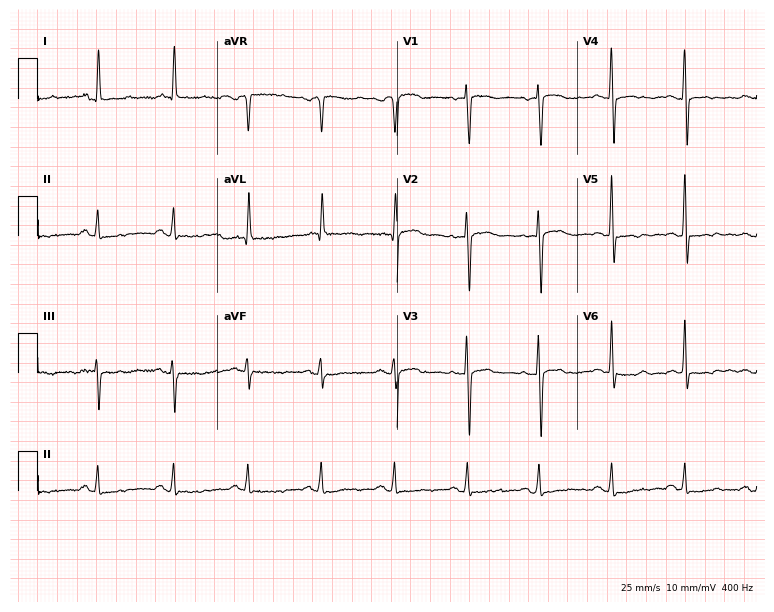
Electrocardiogram (7.3-second recording at 400 Hz), a 63-year-old female patient. Of the six screened findings (first-degree AV block, right bundle branch block (RBBB), left bundle branch block (LBBB), sinus bradycardia, atrial fibrillation (AF), sinus tachycardia), none is recorded. Findings outside these six are not listed.